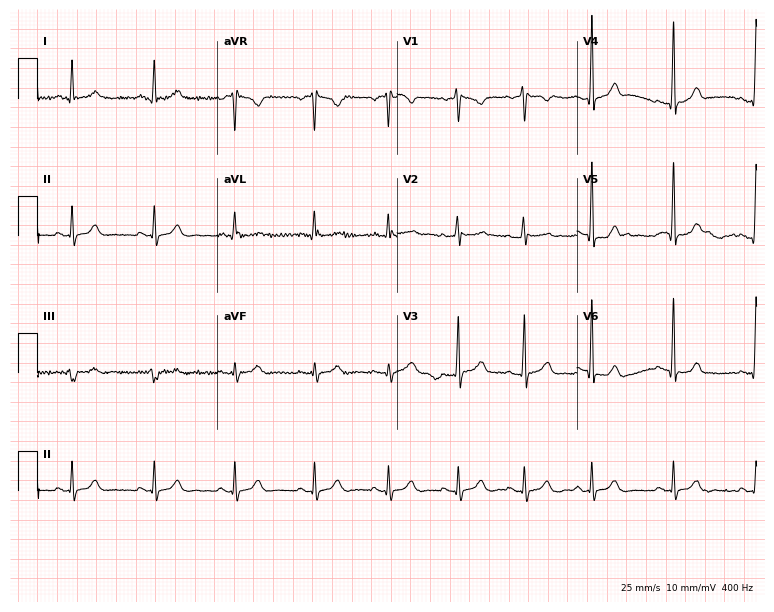
Standard 12-lead ECG recorded from a 23-year-old woman. None of these six findings is recorded: first-degree AV block, right bundle branch block (RBBB), left bundle branch block (LBBB), sinus bradycardia, atrial fibrillation (AF), sinus tachycardia.